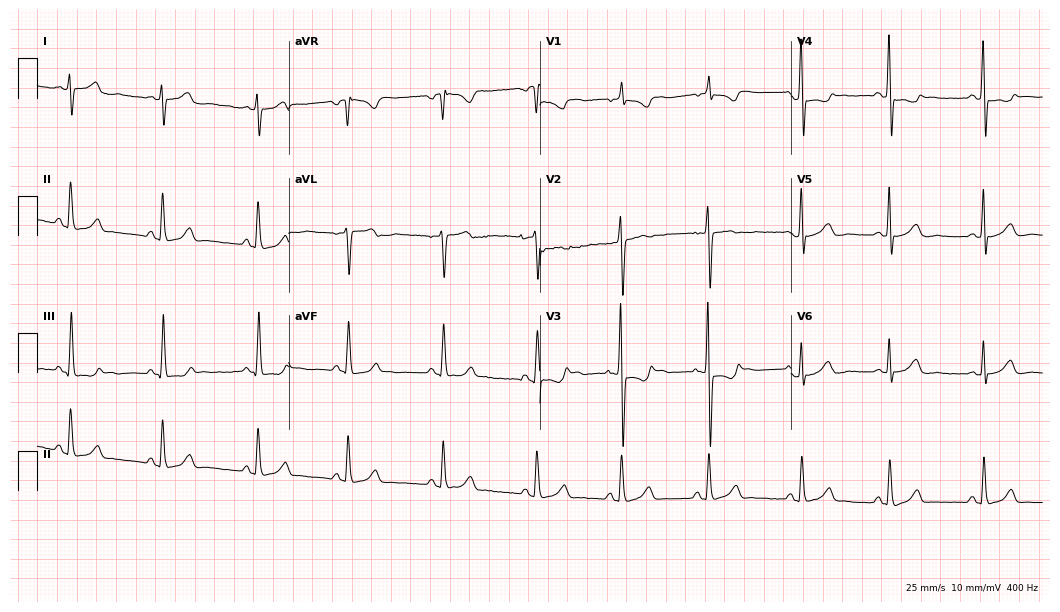
Standard 12-lead ECG recorded from a female patient, 26 years old (10.2-second recording at 400 Hz). Read as a normal ECG.